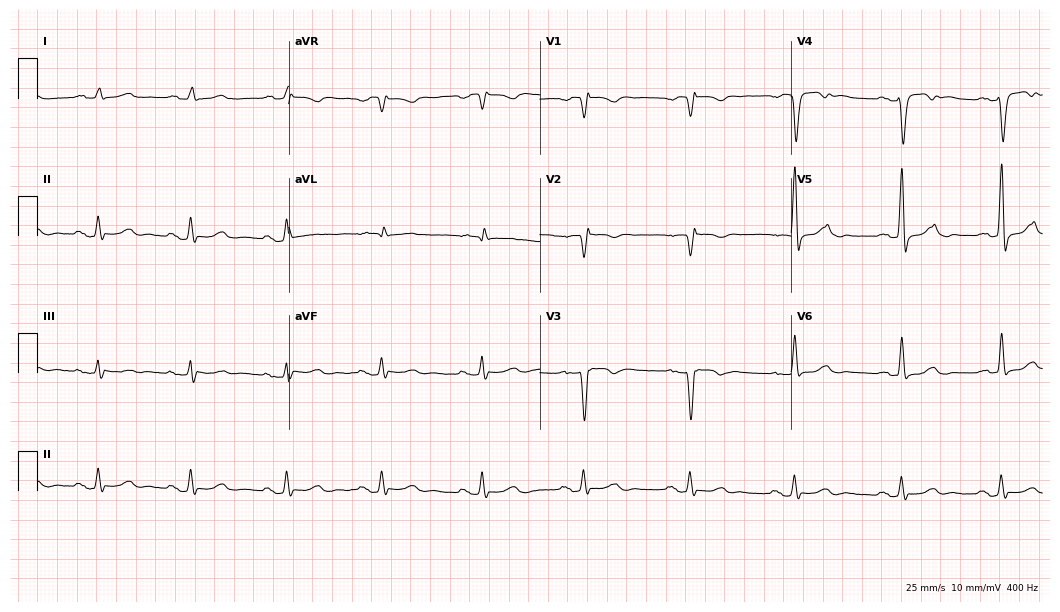
12-lead ECG (10.2-second recording at 400 Hz) from a 53-year-old female patient. Screened for six findings — first-degree AV block, right bundle branch block, left bundle branch block, sinus bradycardia, atrial fibrillation, sinus tachycardia — none is recorded.